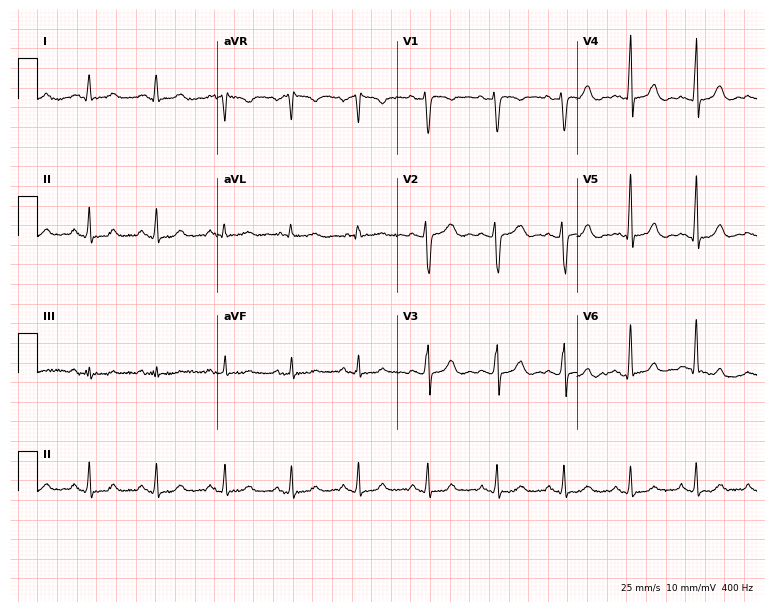
ECG — a female patient, 31 years old. Screened for six findings — first-degree AV block, right bundle branch block (RBBB), left bundle branch block (LBBB), sinus bradycardia, atrial fibrillation (AF), sinus tachycardia — none is recorded.